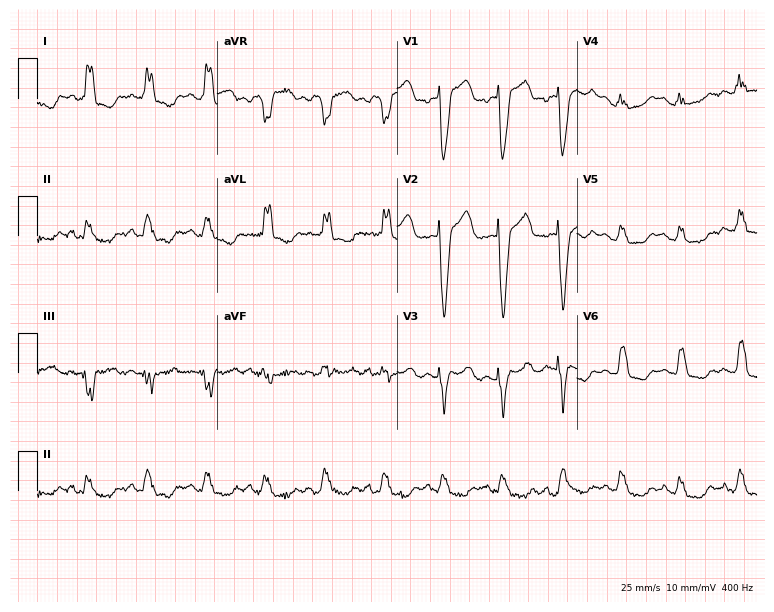
12-lead ECG from a female, 82 years old. Shows left bundle branch block.